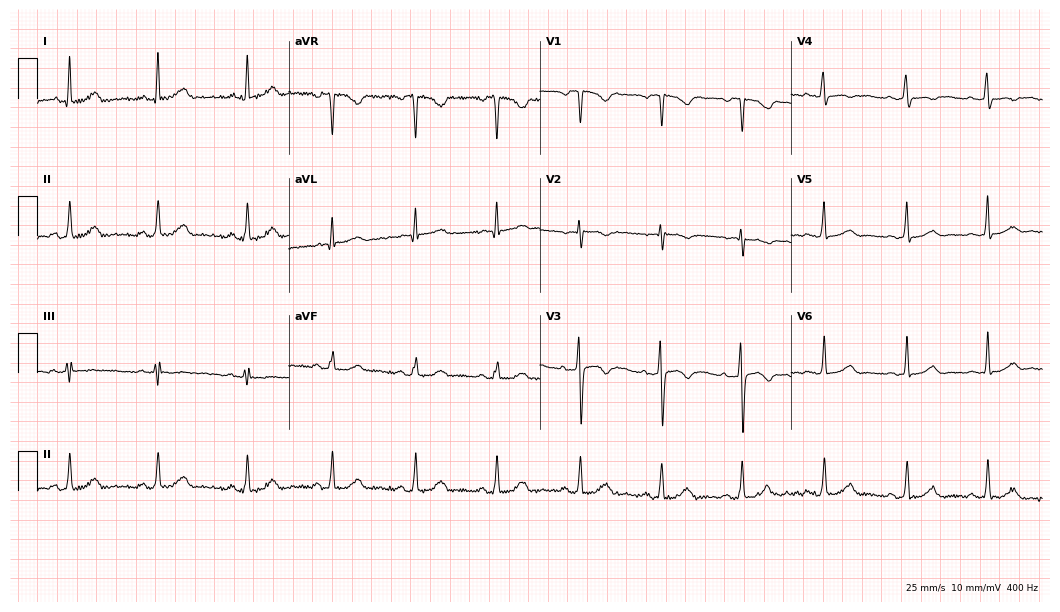
ECG (10.2-second recording at 400 Hz) — a 25-year-old woman. Labelled as a normal ECG.